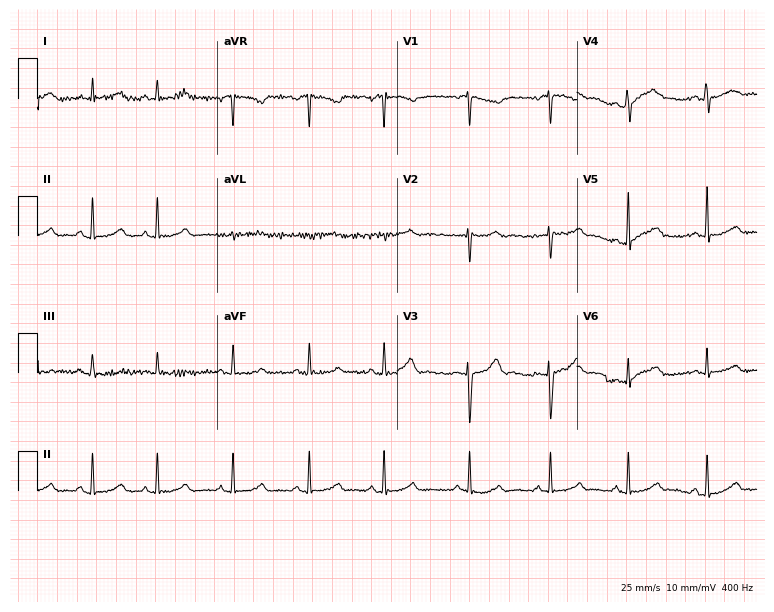
Resting 12-lead electrocardiogram (7.3-second recording at 400 Hz). Patient: a 21-year-old woman. Read as a normal ECG.